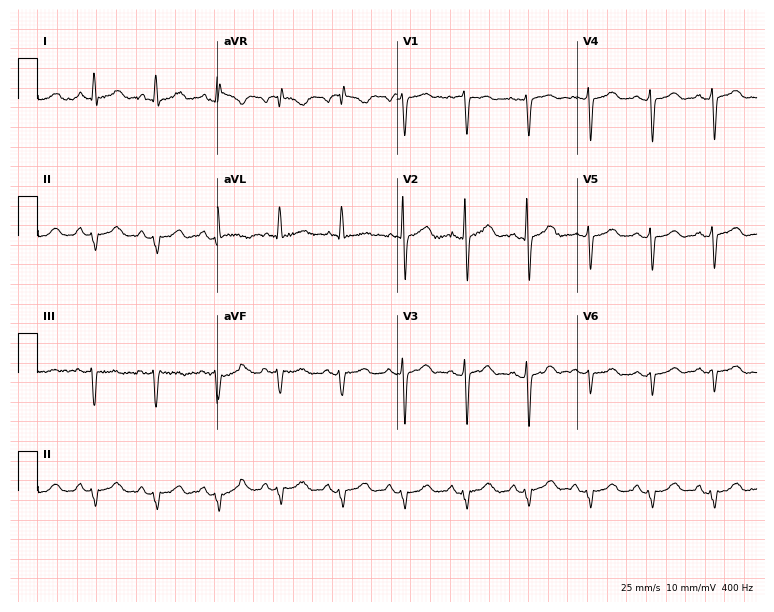
ECG — a 69-year-old female. Screened for six findings — first-degree AV block, right bundle branch block, left bundle branch block, sinus bradycardia, atrial fibrillation, sinus tachycardia — none is recorded.